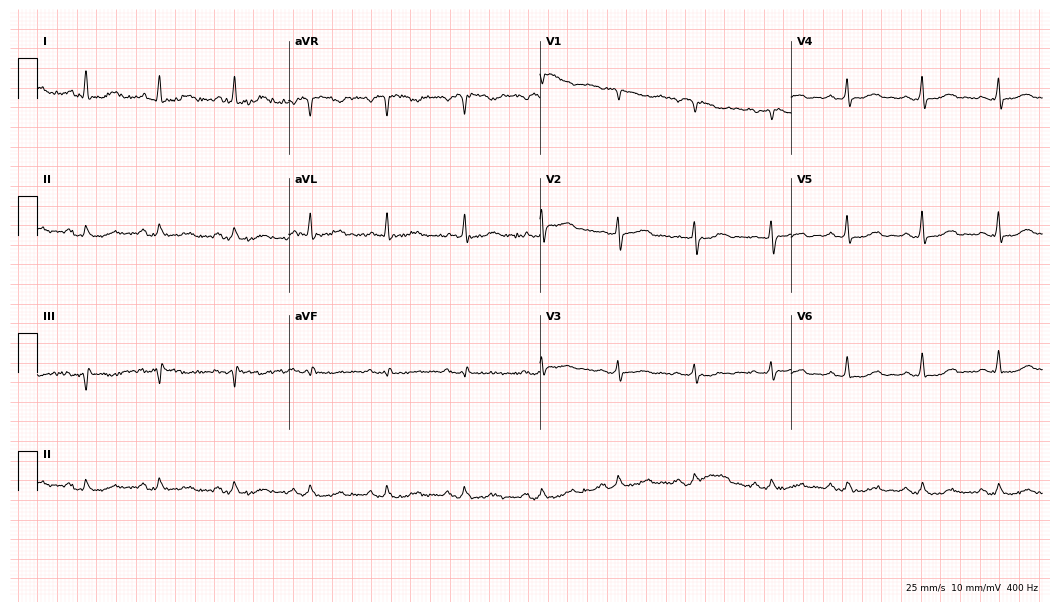
Electrocardiogram, a woman, 77 years old. Of the six screened findings (first-degree AV block, right bundle branch block (RBBB), left bundle branch block (LBBB), sinus bradycardia, atrial fibrillation (AF), sinus tachycardia), none is recorded.